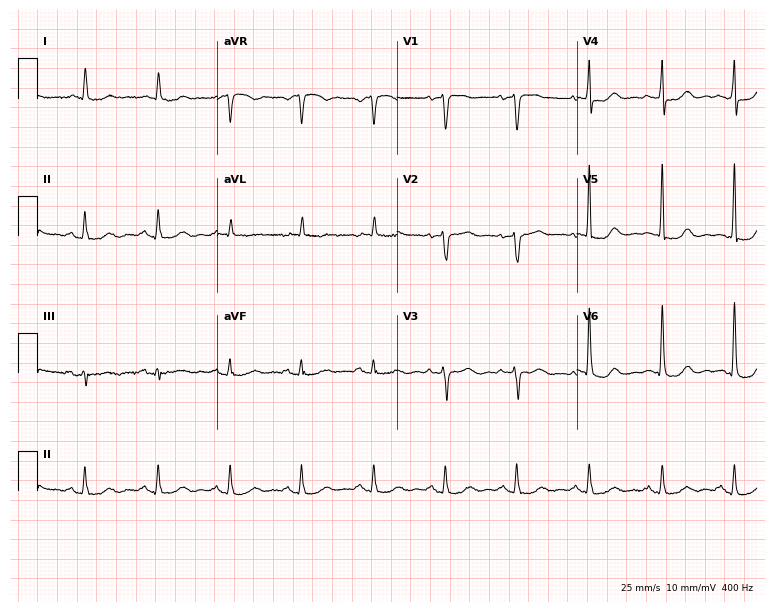
Resting 12-lead electrocardiogram. Patient: a 67-year-old female. None of these six findings is recorded: first-degree AV block, right bundle branch block, left bundle branch block, sinus bradycardia, atrial fibrillation, sinus tachycardia. Other findings, if any, are not listed.